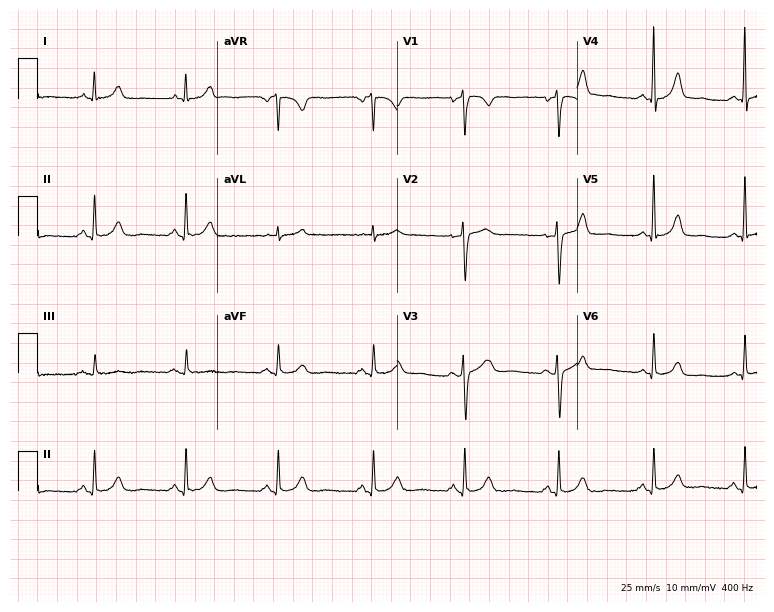
Electrocardiogram (7.3-second recording at 400 Hz), a 50-year-old female patient. Of the six screened findings (first-degree AV block, right bundle branch block (RBBB), left bundle branch block (LBBB), sinus bradycardia, atrial fibrillation (AF), sinus tachycardia), none is recorded. Findings outside these six are not listed.